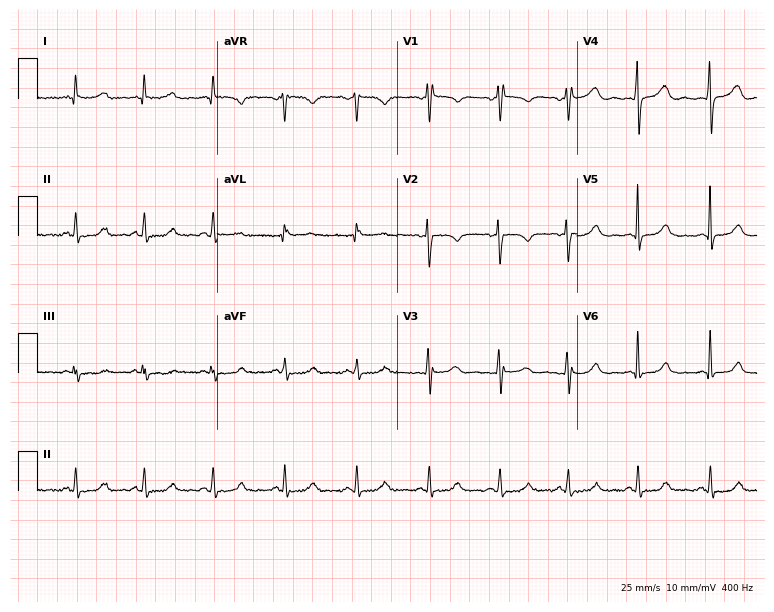
Electrocardiogram (7.3-second recording at 400 Hz), a female patient, 43 years old. Of the six screened findings (first-degree AV block, right bundle branch block (RBBB), left bundle branch block (LBBB), sinus bradycardia, atrial fibrillation (AF), sinus tachycardia), none is recorded. Findings outside these six are not listed.